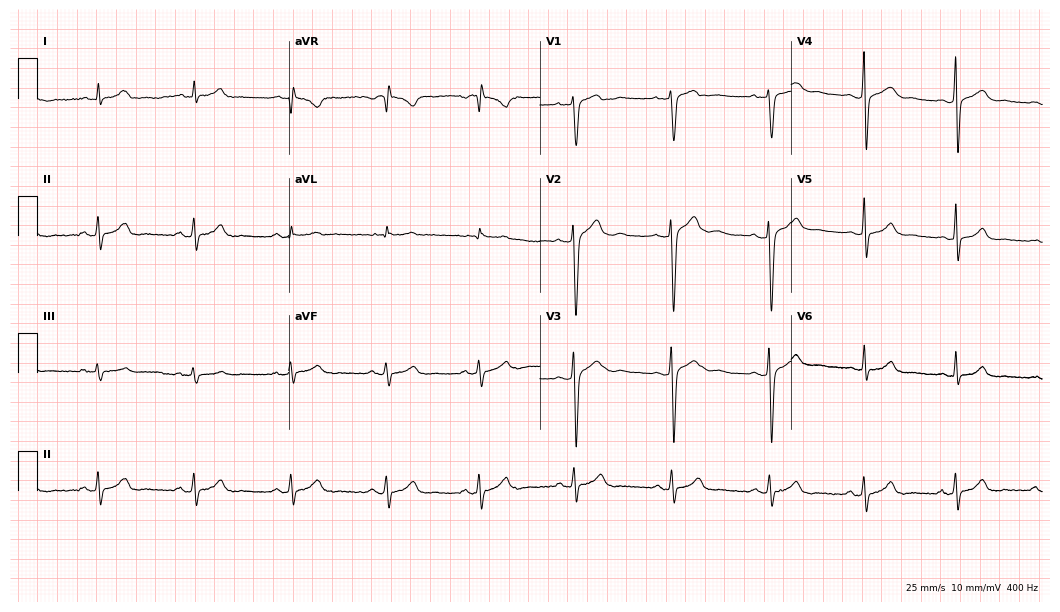
ECG (10.2-second recording at 400 Hz) — a male, 27 years old. Labelled as a normal ECG.